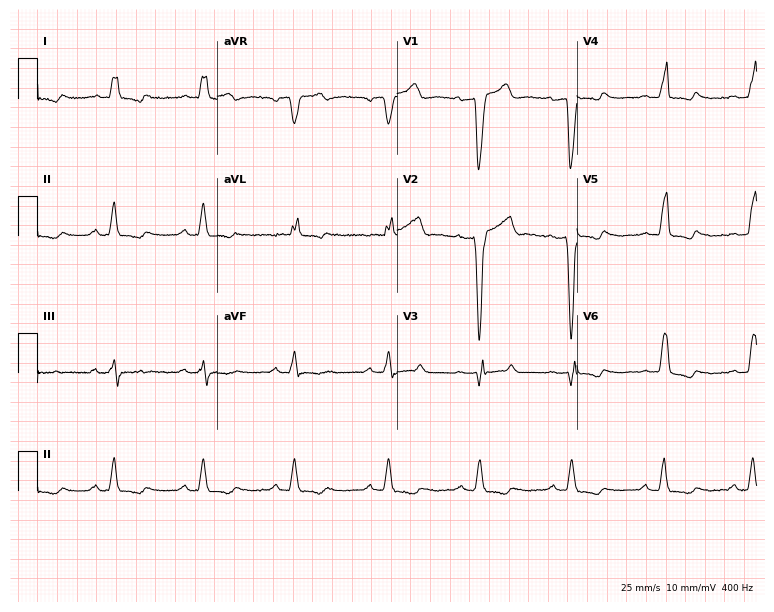
ECG (7.3-second recording at 400 Hz) — a 63-year-old male. Findings include left bundle branch block (LBBB).